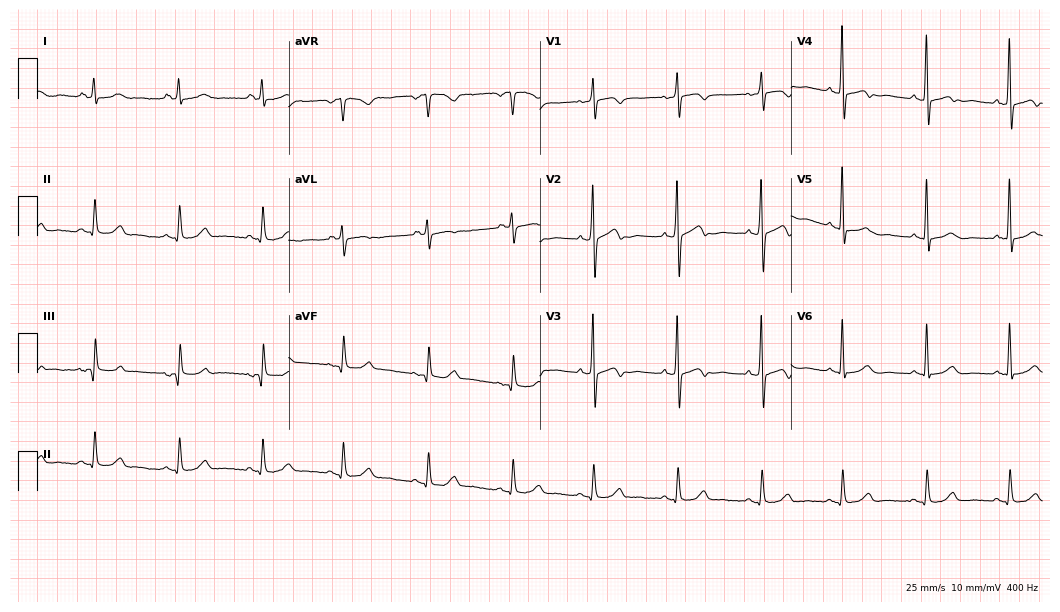
12-lead ECG from a woman, 62 years old. Labelled as a normal ECG.